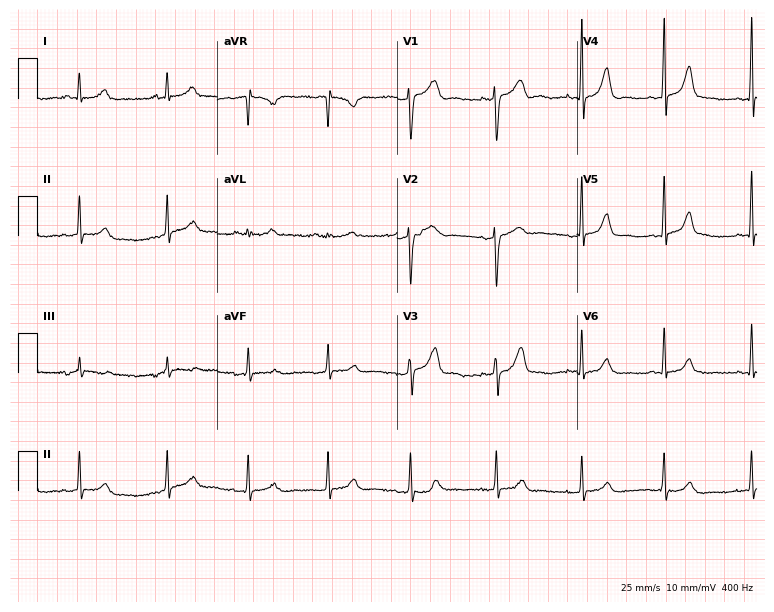
Electrocardiogram (7.3-second recording at 400 Hz), a woman, 46 years old. Overall reading on record: normal ECG.